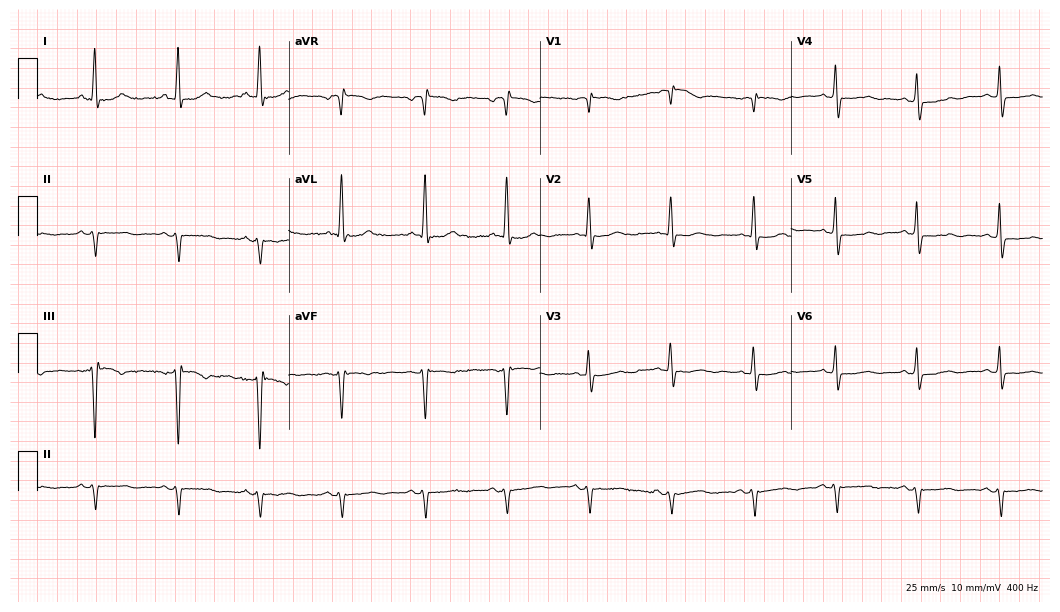
ECG (10.2-second recording at 400 Hz) — a woman, 78 years old. Screened for six findings — first-degree AV block, right bundle branch block (RBBB), left bundle branch block (LBBB), sinus bradycardia, atrial fibrillation (AF), sinus tachycardia — none is recorded. Other findings, if any, are not listed.